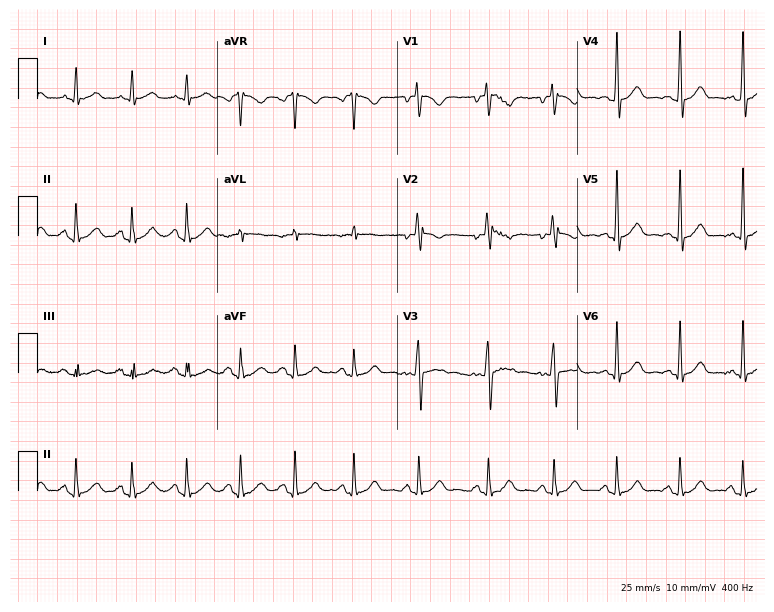
12-lead ECG from a man, 28 years old. Screened for six findings — first-degree AV block, right bundle branch block, left bundle branch block, sinus bradycardia, atrial fibrillation, sinus tachycardia — none is recorded.